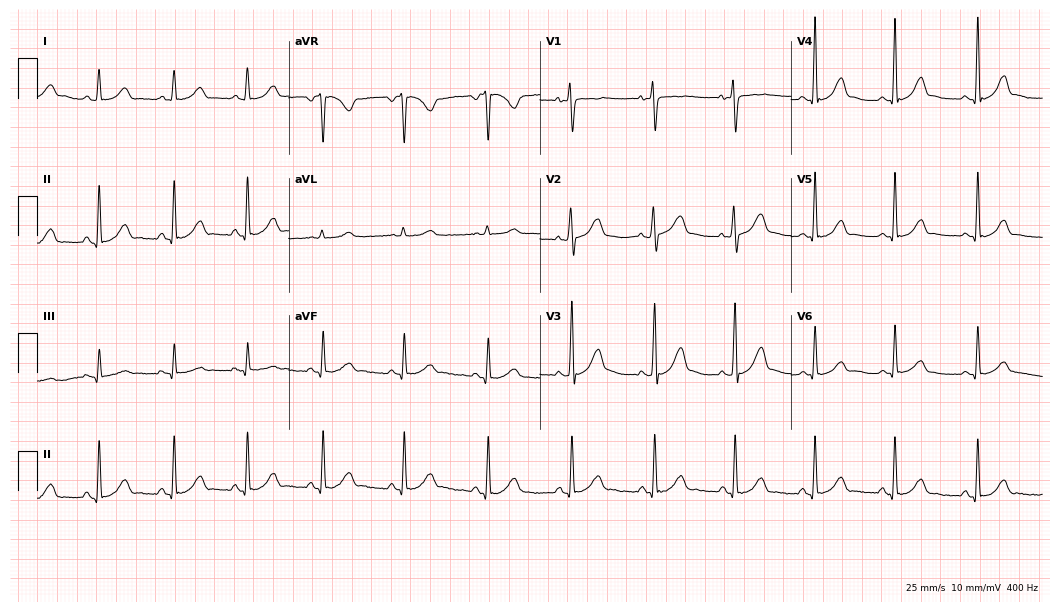
Resting 12-lead electrocardiogram. Patient: a female, 37 years old. None of these six findings is recorded: first-degree AV block, right bundle branch block (RBBB), left bundle branch block (LBBB), sinus bradycardia, atrial fibrillation (AF), sinus tachycardia. Other findings, if any, are not listed.